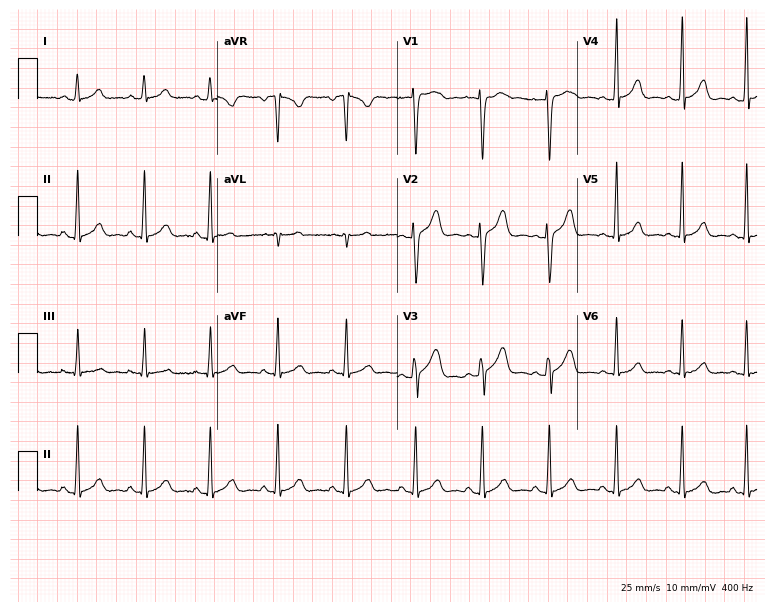
12-lead ECG (7.3-second recording at 400 Hz) from a female, 17 years old. Labelled as a normal ECG.